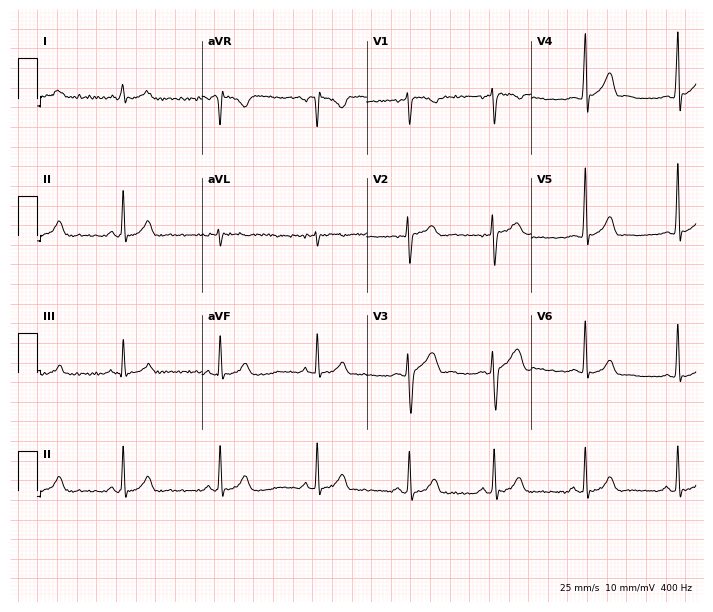
12-lead ECG from a male patient, 25 years old (6.7-second recording at 400 Hz). Recorded interpretation: within normal limits.